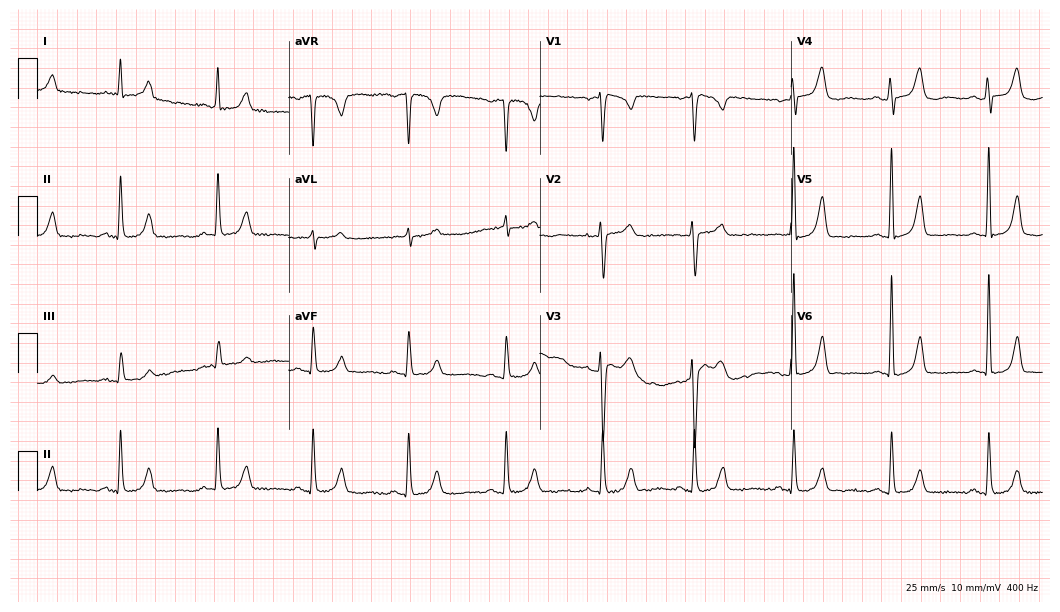
Standard 12-lead ECG recorded from a female patient, 70 years old. Read as a normal ECG.